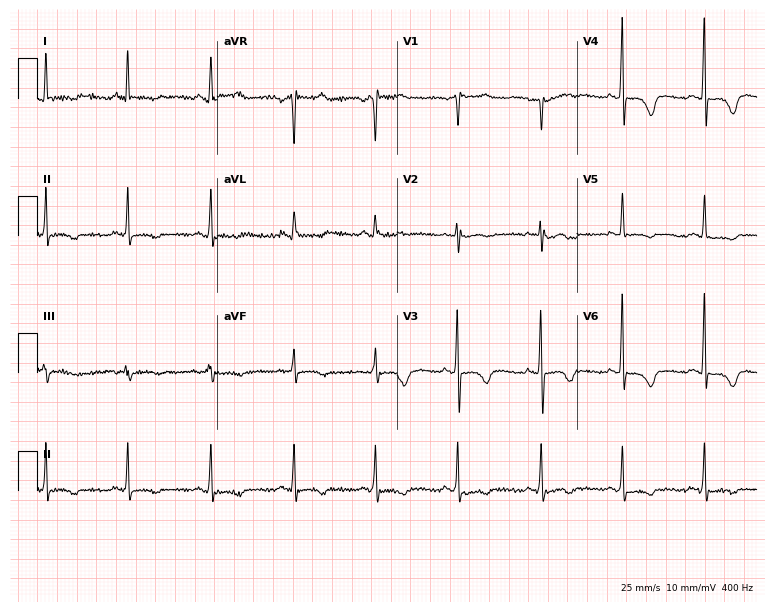
ECG (7.3-second recording at 400 Hz) — a female, 78 years old. Screened for six findings — first-degree AV block, right bundle branch block (RBBB), left bundle branch block (LBBB), sinus bradycardia, atrial fibrillation (AF), sinus tachycardia — none is recorded.